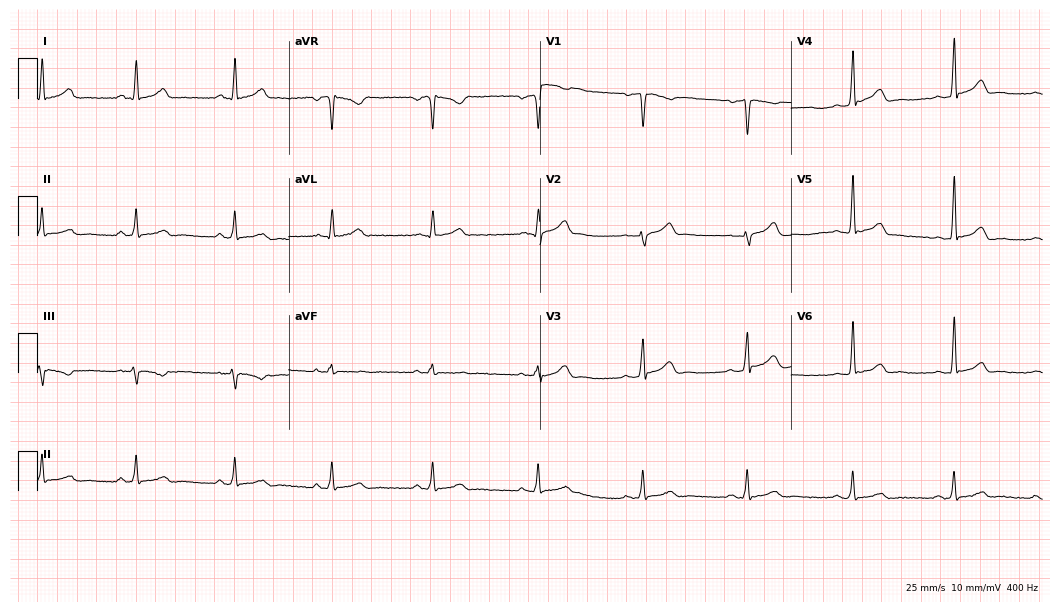
Resting 12-lead electrocardiogram (10.2-second recording at 400 Hz). Patient: a male, 33 years old. Read as a normal ECG.